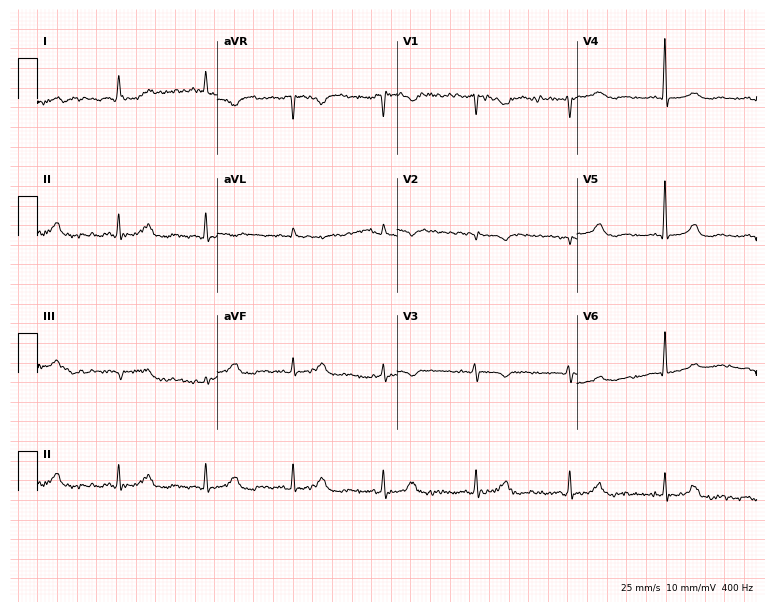
12-lead ECG from a 77-year-old female. Screened for six findings — first-degree AV block, right bundle branch block, left bundle branch block, sinus bradycardia, atrial fibrillation, sinus tachycardia — none is recorded.